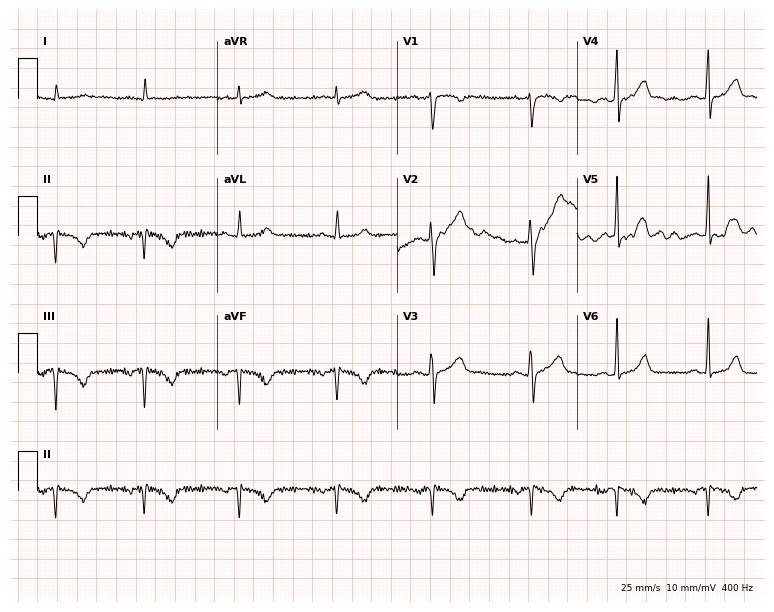
Electrocardiogram, a female patient, 32 years old. Of the six screened findings (first-degree AV block, right bundle branch block, left bundle branch block, sinus bradycardia, atrial fibrillation, sinus tachycardia), none is recorded. Findings outside these six are not listed.